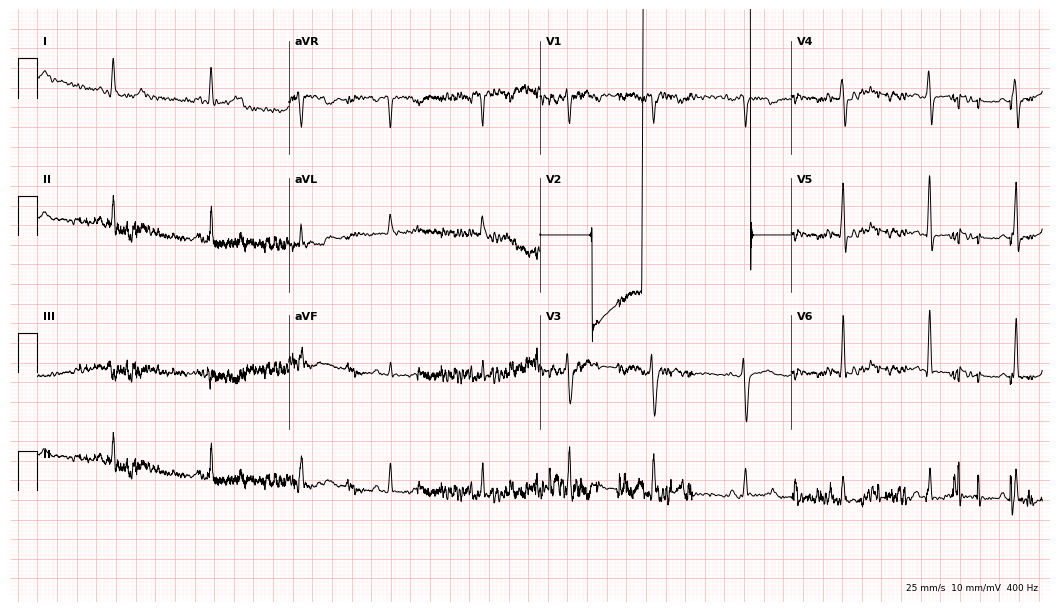
Electrocardiogram, a 52-year-old female. Of the six screened findings (first-degree AV block, right bundle branch block, left bundle branch block, sinus bradycardia, atrial fibrillation, sinus tachycardia), none is recorded.